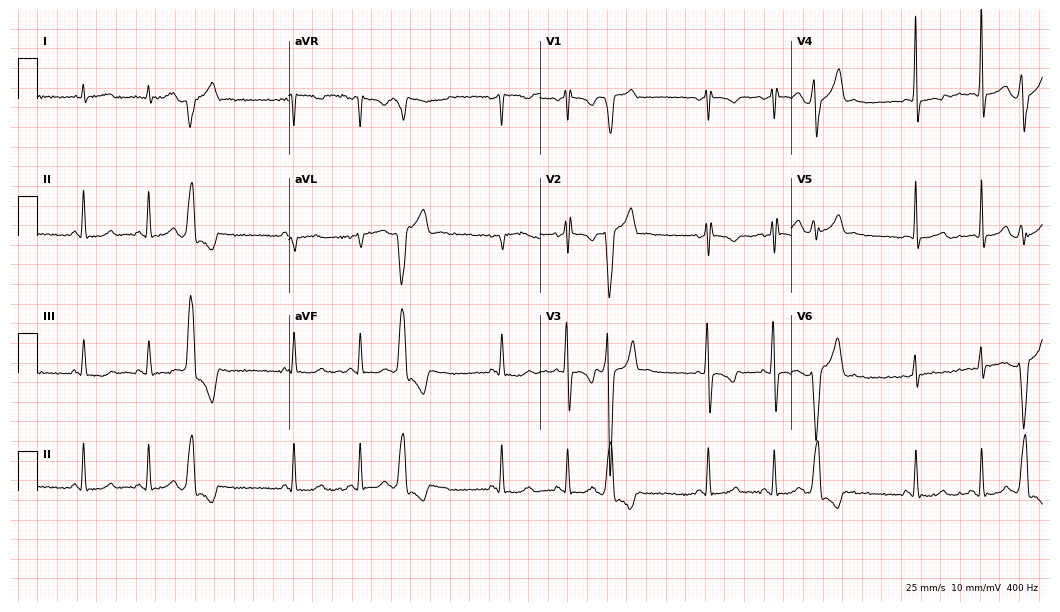
Resting 12-lead electrocardiogram. Patient: a 37-year-old woman. None of these six findings is recorded: first-degree AV block, right bundle branch block (RBBB), left bundle branch block (LBBB), sinus bradycardia, atrial fibrillation (AF), sinus tachycardia. Findings outside these six are not listed.